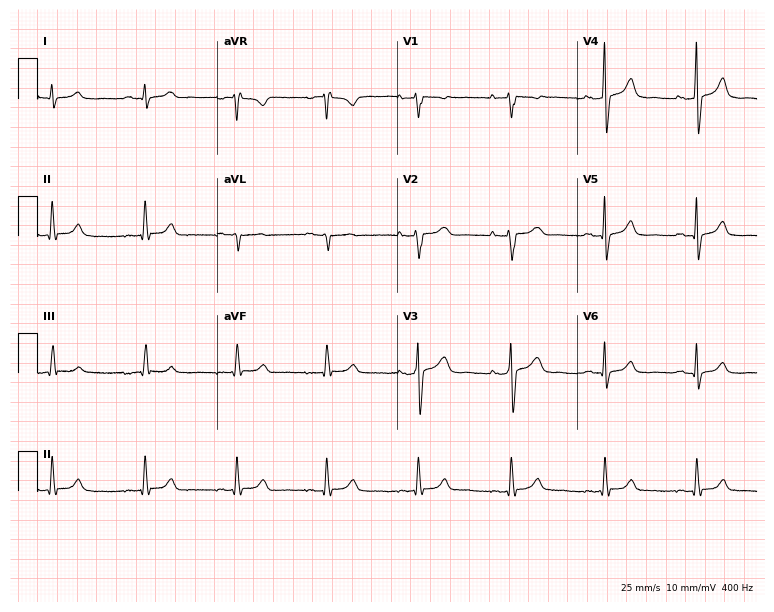
Electrocardiogram, a male patient, 58 years old. Overall reading on record: normal ECG.